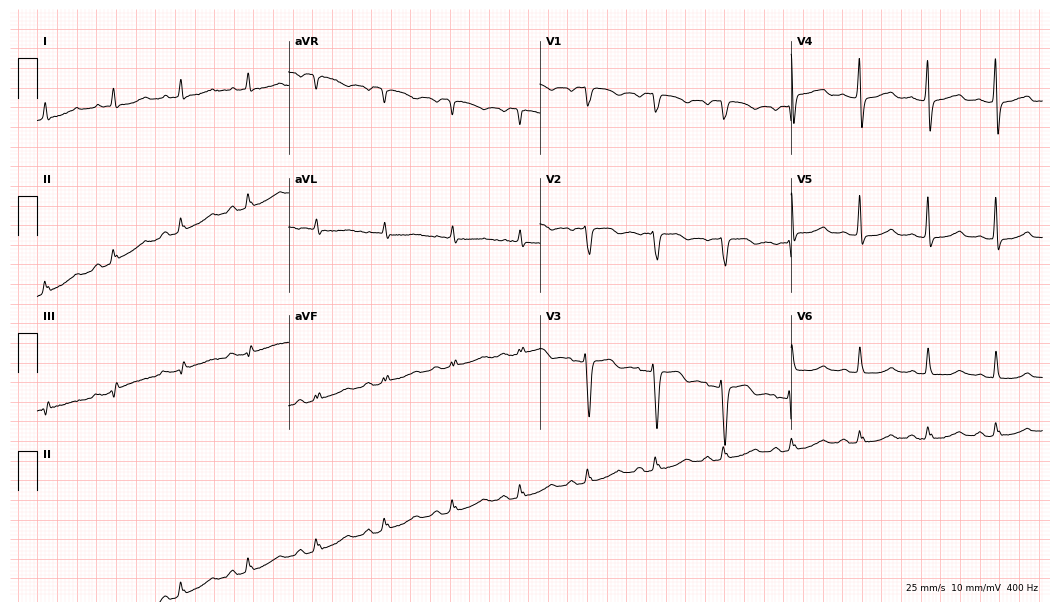
Resting 12-lead electrocardiogram (10.2-second recording at 400 Hz). Patient: an 80-year-old woman. None of these six findings is recorded: first-degree AV block, right bundle branch block, left bundle branch block, sinus bradycardia, atrial fibrillation, sinus tachycardia.